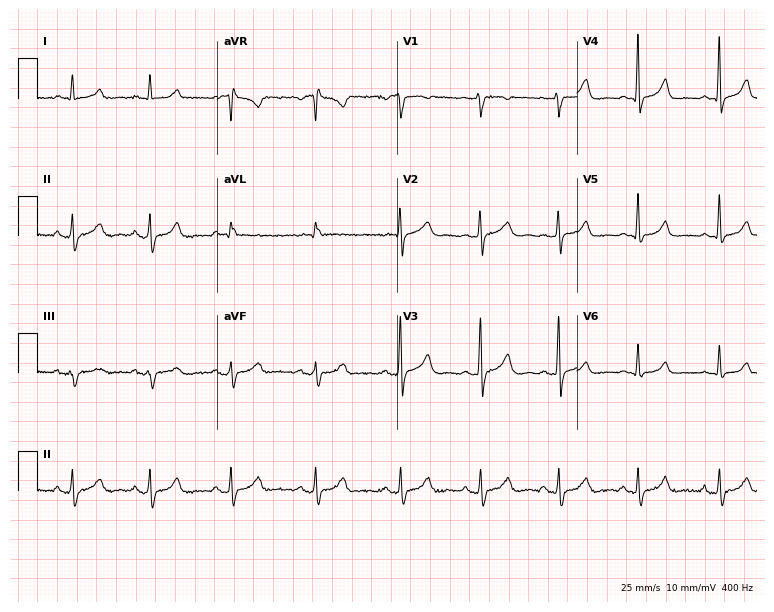
Electrocardiogram, a female, 52 years old. Of the six screened findings (first-degree AV block, right bundle branch block, left bundle branch block, sinus bradycardia, atrial fibrillation, sinus tachycardia), none is recorded.